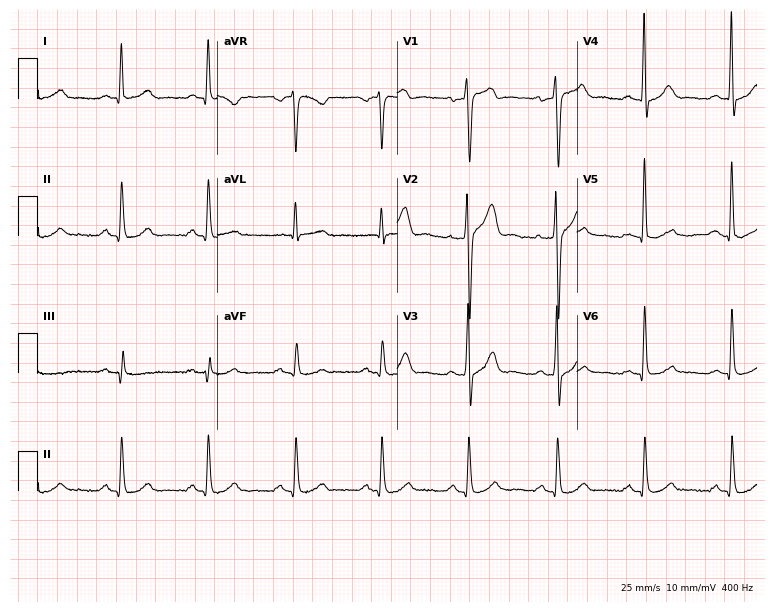
Standard 12-lead ECG recorded from a male patient, 40 years old (7.3-second recording at 400 Hz). None of these six findings is recorded: first-degree AV block, right bundle branch block, left bundle branch block, sinus bradycardia, atrial fibrillation, sinus tachycardia.